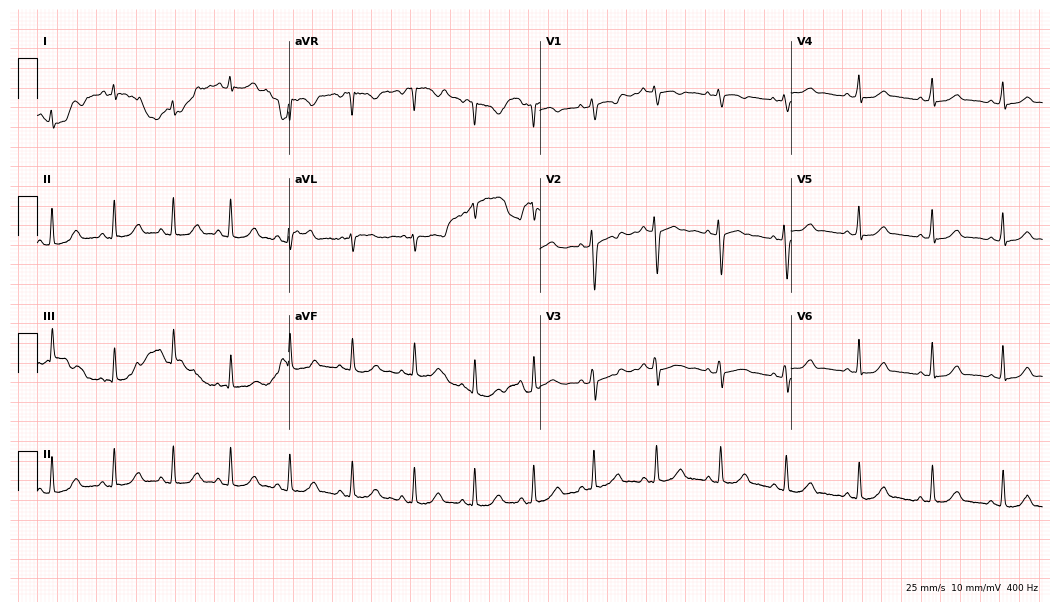
Electrocardiogram (10.2-second recording at 400 Hz), a female patient, 31 years old. Overall reading on record: normal ECG.